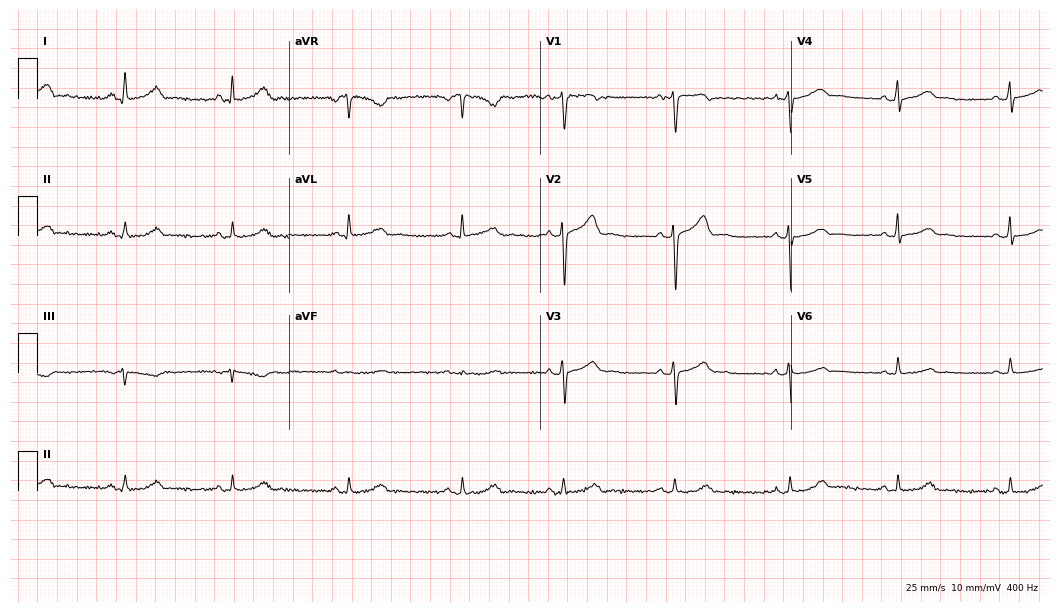
ECG (10.2-second recording at 400 Hz) — a 30-year-old female. Labelled as a normal ECG.